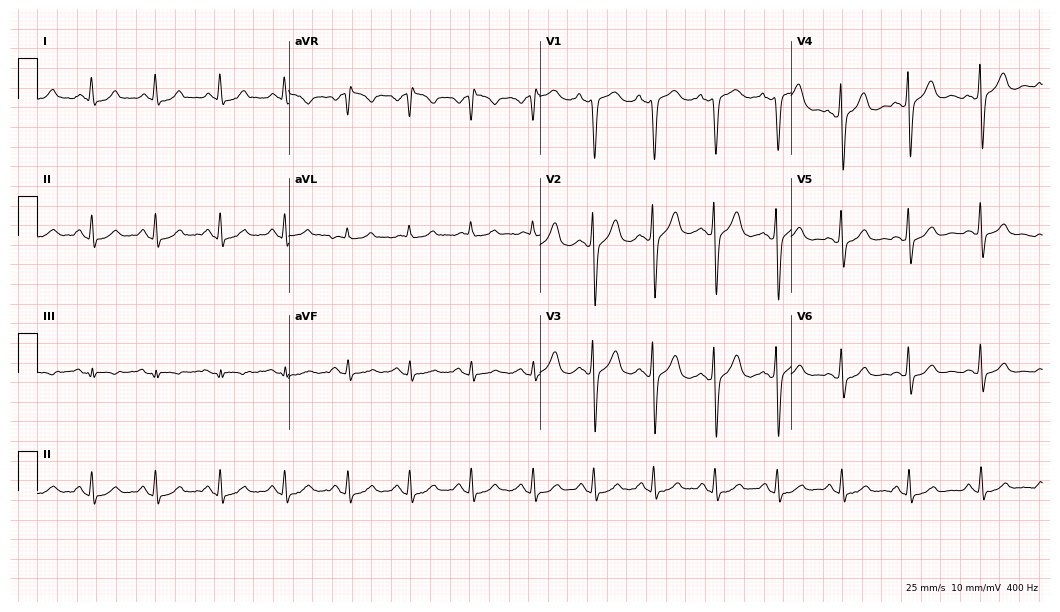
ECG — a male patient, 47 years old. Labelled as a normal ECG.